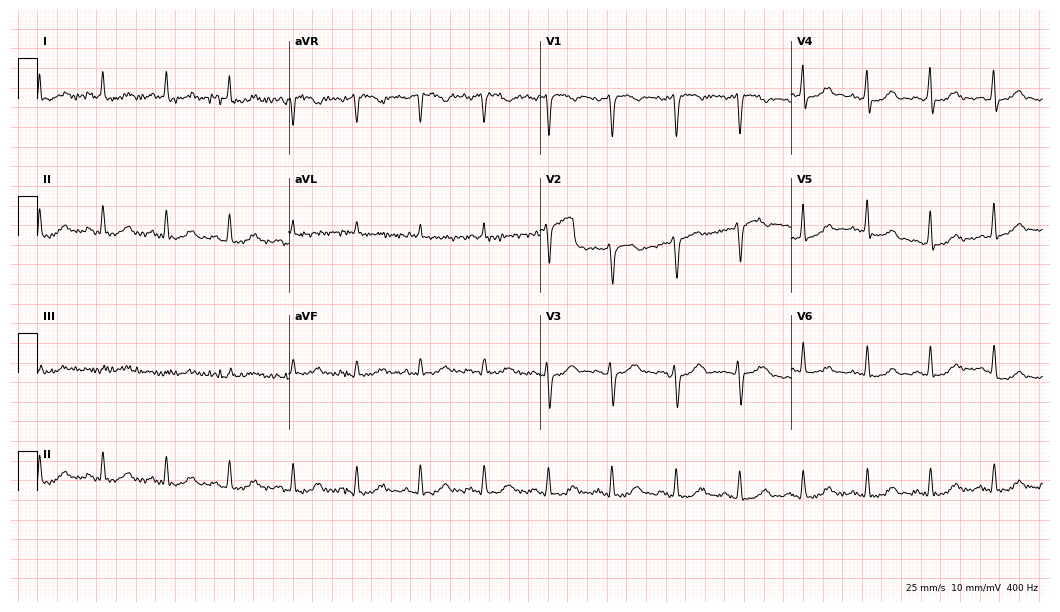
Electrocardiogram, a female patient, 44 years old. Overall reading on record: normal ECG.